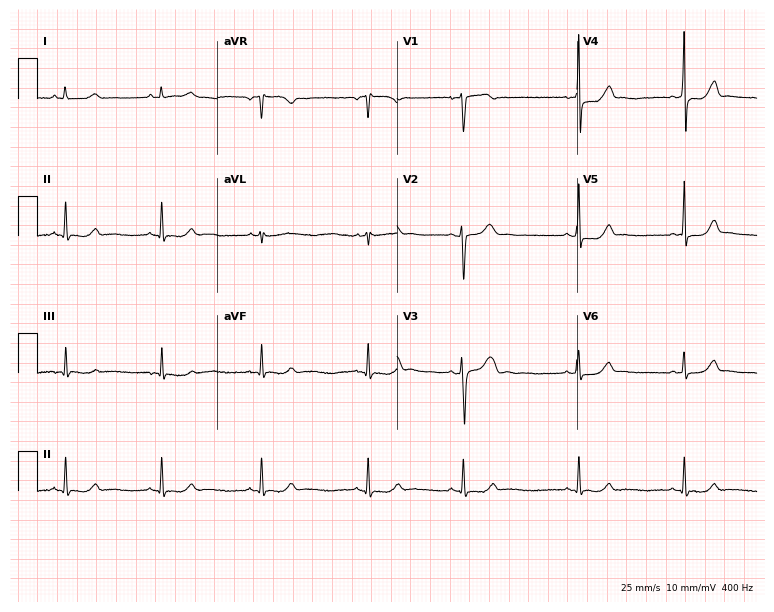
Resting 12-lead electrocardiogram (7.3-second recording at 400 Hz). Patient: a 30-year-old woman. Read as a normal ECG.